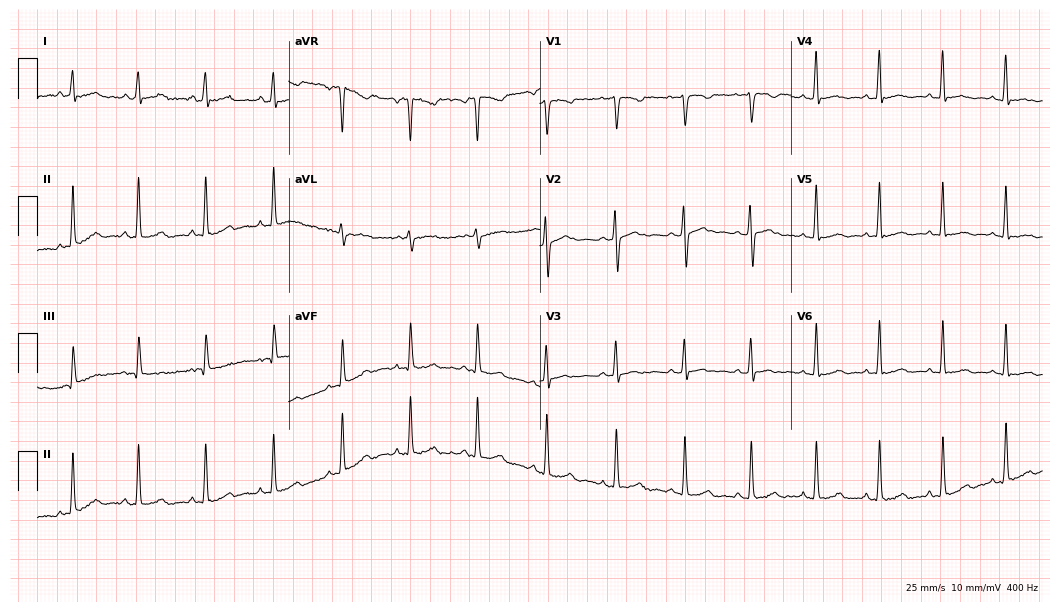
Resting 12-lead electrocardiogram. Patient: a female, 34 years old. Read as a normal ECG.